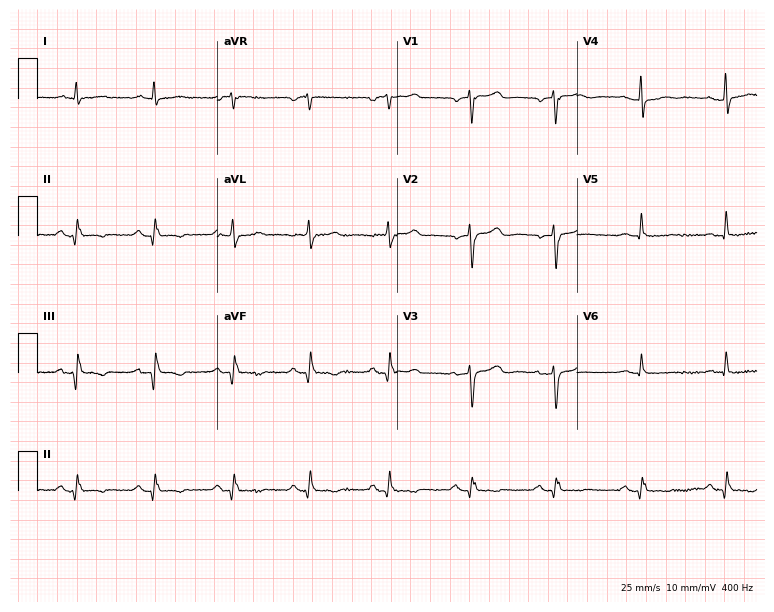
12-lead ECG from a 70-year-old male patient. No first-degree AV block, right bundle branch block, left bundle branch block, sinus bradycardia, atrial fibrillation or sinus tachycardia recorded for this tracing.